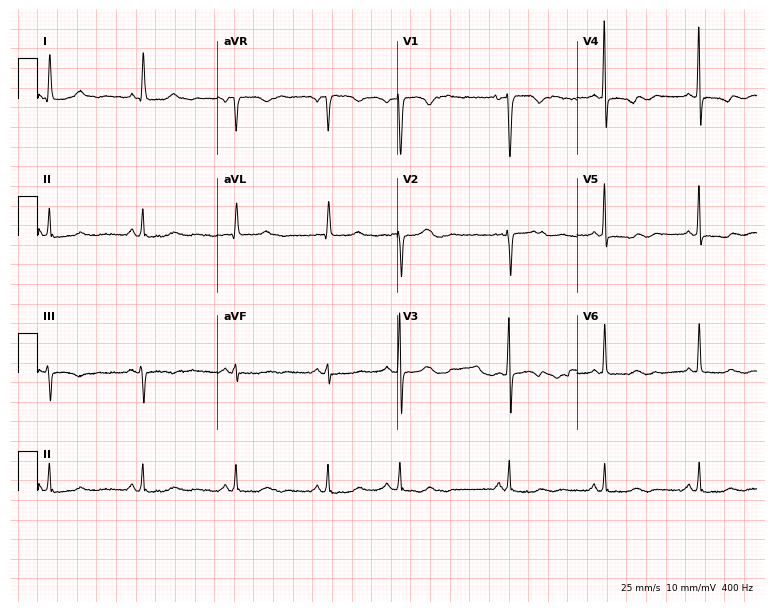
12-lead ECG from a female, 45 years old (7.3-second recording at 400 Hz). No first-degree AV block, right bundle branch block (RBBB), left bundle branch block (LBBB), sinus bradycardia, atrial fibrillation (AF) or sinus tachycardia recorded for this tracing.